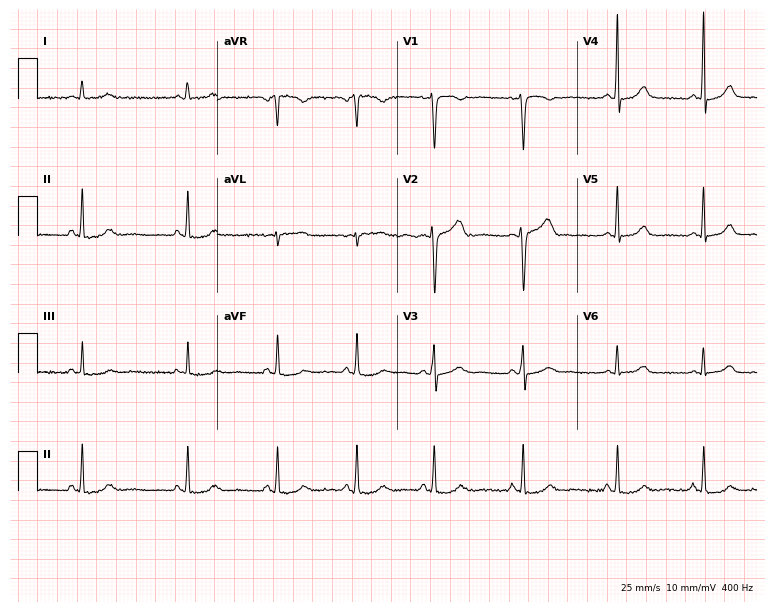
12-lead ECG from a 26-year-old woman. No first-degree AV block, right bundle branch block (RBBB), left bundle branch block (LBBB), sinus bradycardia, atrial fibrillation (AF) or sinus tachycardia recorded for this tracing.